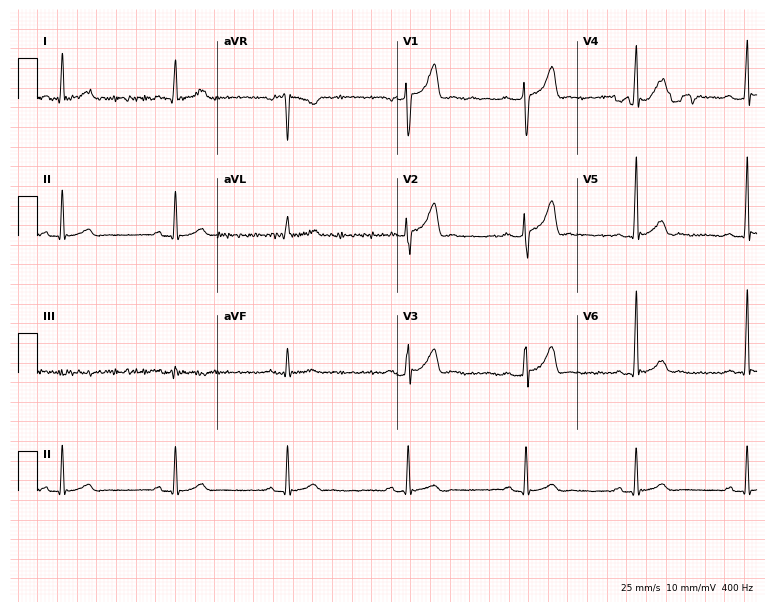
Electrocardiogram, a male, 26 years old. Of the six screened findings (first-degree AV block, right bundle branch block, left bundle branch block, sinus bradycardia, atrial fibrillation, sinus tachycardia), none is recorded. Only these six findings were labelled.